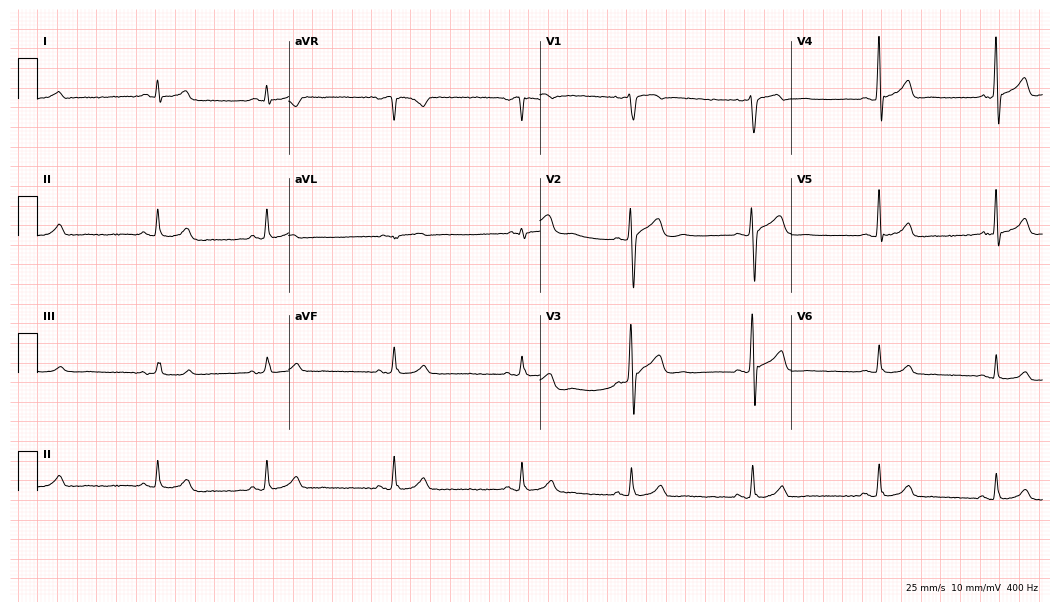
ECG (10.2-second recording at 400 Hz) — a male, 37 years old. Labelled as a normal ECG.